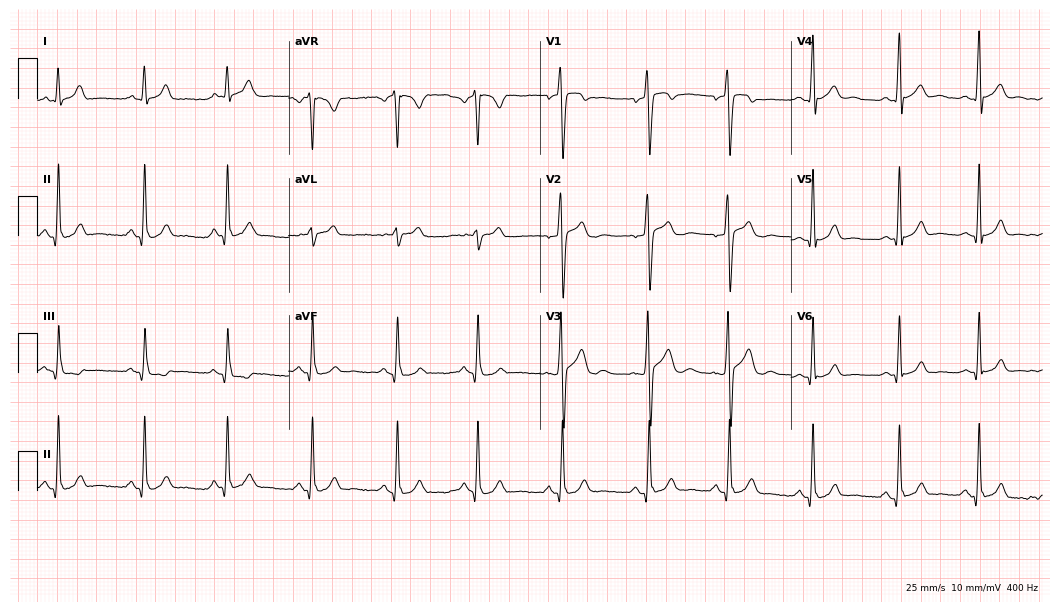
Standard 12-lead ECG recorded from a male patient, 19 years old. Read as a normal ECG.